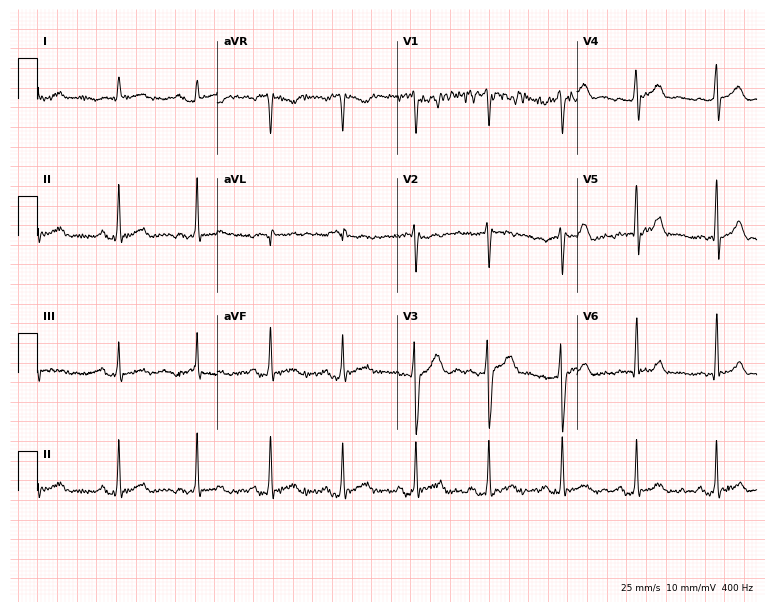
Standard 12-lead ECG recorded from a 28-year-old male patient (7.3-second recording at 400 Hz). None of these six findings is recorded: first-degree AV block, right bundle branch block (RBBB), left bundle branch block (LBBB), sinus bradycardia, atrial fibrillation (AF), sinus tachycardia. Other findings, if any, are not listed.